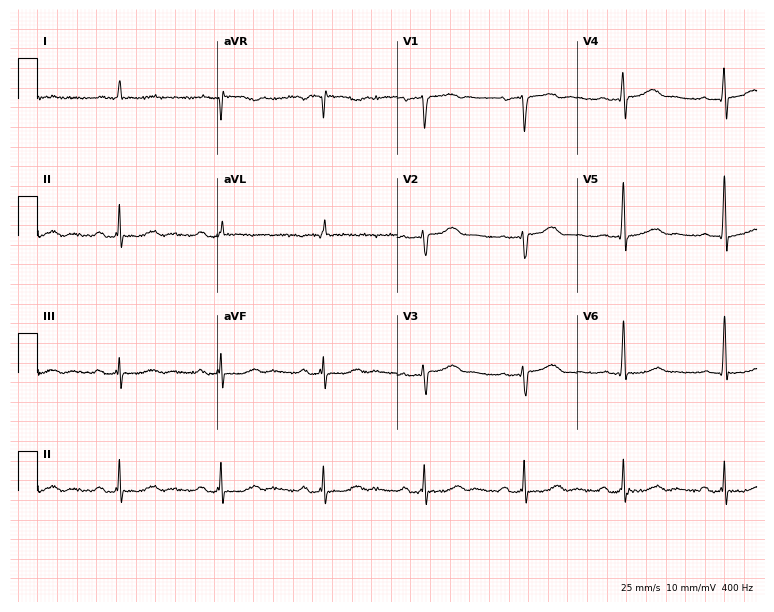
Standard 12-lead ECG recorded from a 66-year-old man (7.3-second recording at 400 Hz). The tracing shows first-degree AV block.